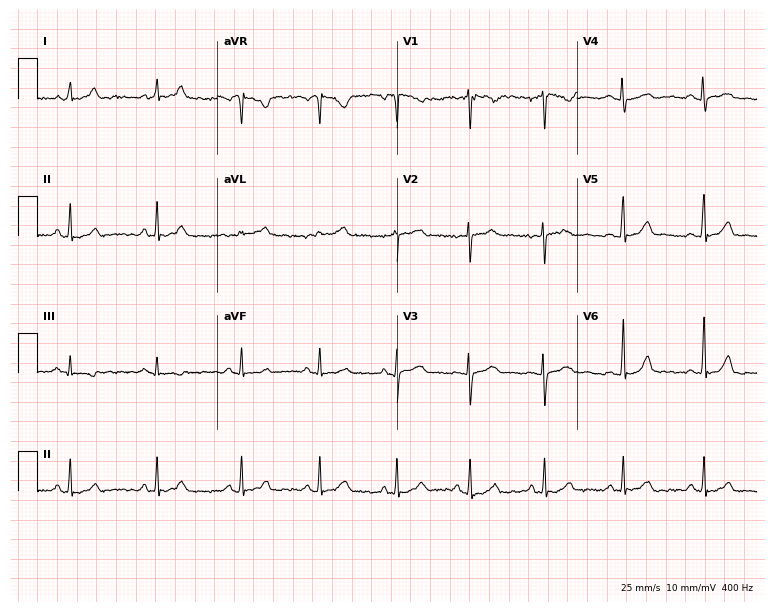
Electrocardiogram, a female patient, 33 years old. Overall reading on record: normal ECG.